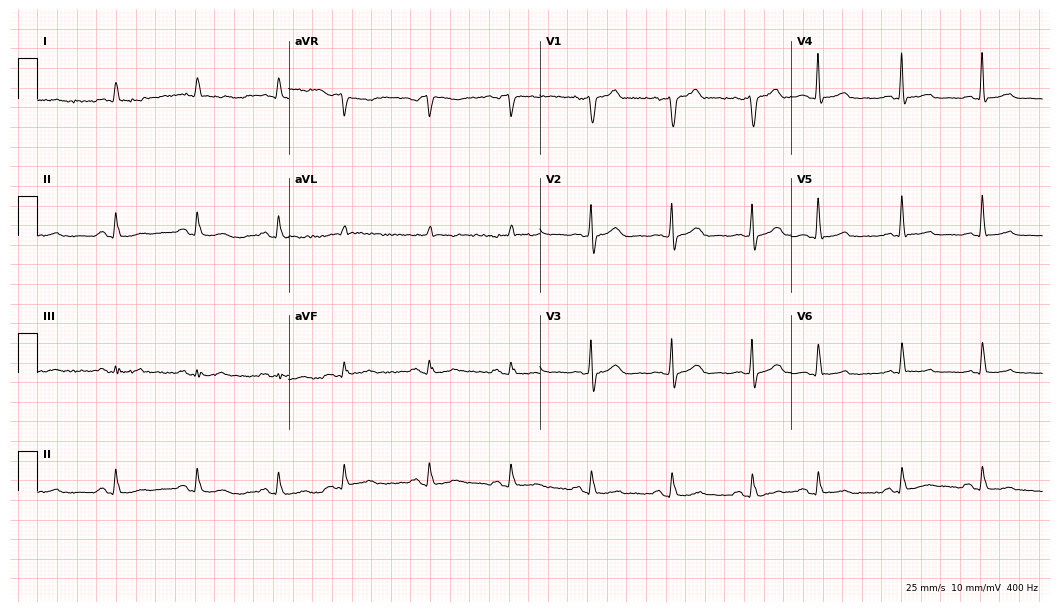
12-lead ECG from a man, 68 years old. Screened for six findings — first-degree AV block, right bundle branch block, left bundle branch block, sinus bradycardia, atrial fibrillation, sinus tachycardia — none is recorded.